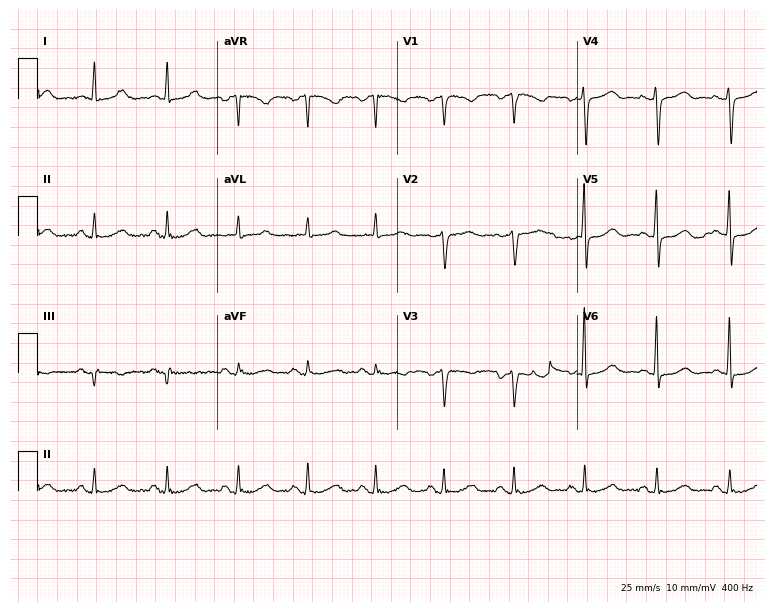
ECG (7.3-second recording at 400 Hz) — a 71-year-old female patient. Screened for six findings — first-degree AV block, right bundle branch block, left bundle branch block, sinus bradycardia, atrial fibrillation, sinus tachycardia — none is recorded.